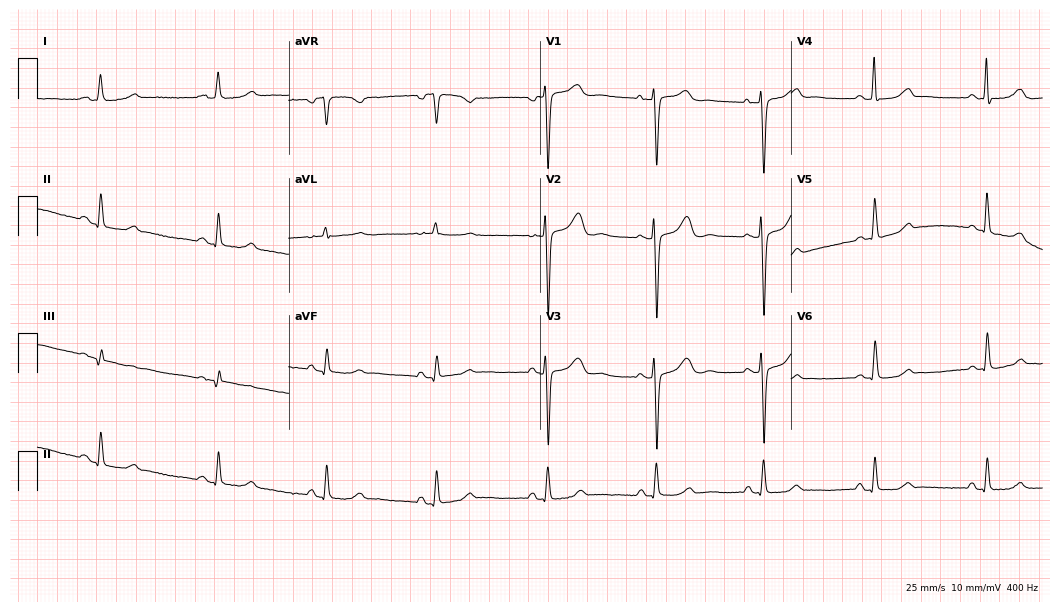
Resting 12-lead electrocardiogram. Patient: a 69-year-old woman. Read as a normal ECG.